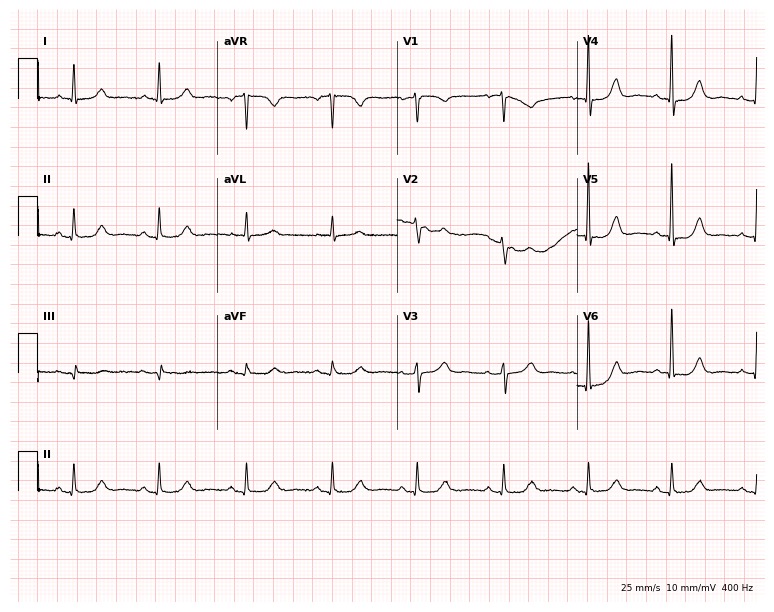
Resting 12-lead electrocardiogram. Patient: a 65-year-old woman. None of these six findings is recorded: first-degree AV block, right bundle branch block, left bundle branch block, sinus bradycardia, atrial fibrillation, sinus tachycardia. Findings outside these six are not listed.